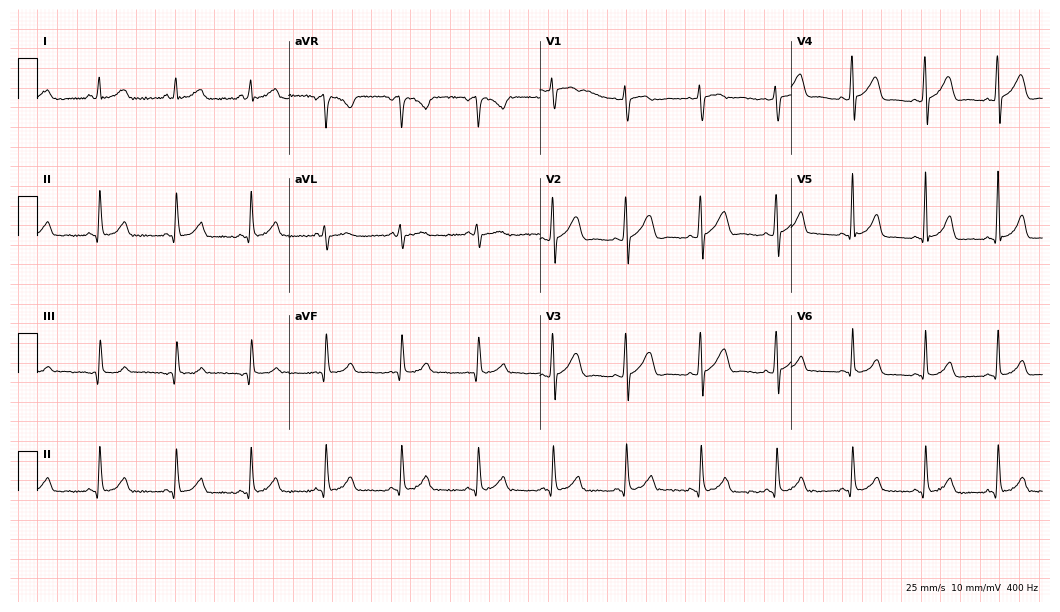
12-lead ECG from a female, 34 years old (10.2-second recording at 400 Hz). Recorded interpretation: within normal limits.